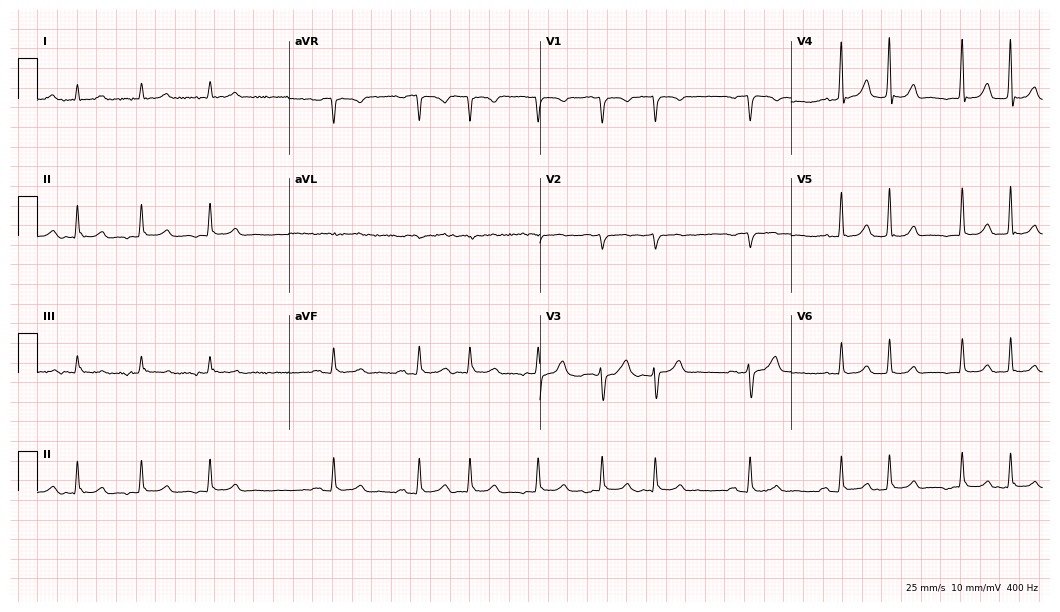
12-lead ECG from a 68-year-old man (10.2-second recording at 400 Hz). No first-degree AV block, right bundle branch block, left bundle branch block, sinus bradycardia, atrial fibrillation or sinus tachycardia recorded for this tracing.